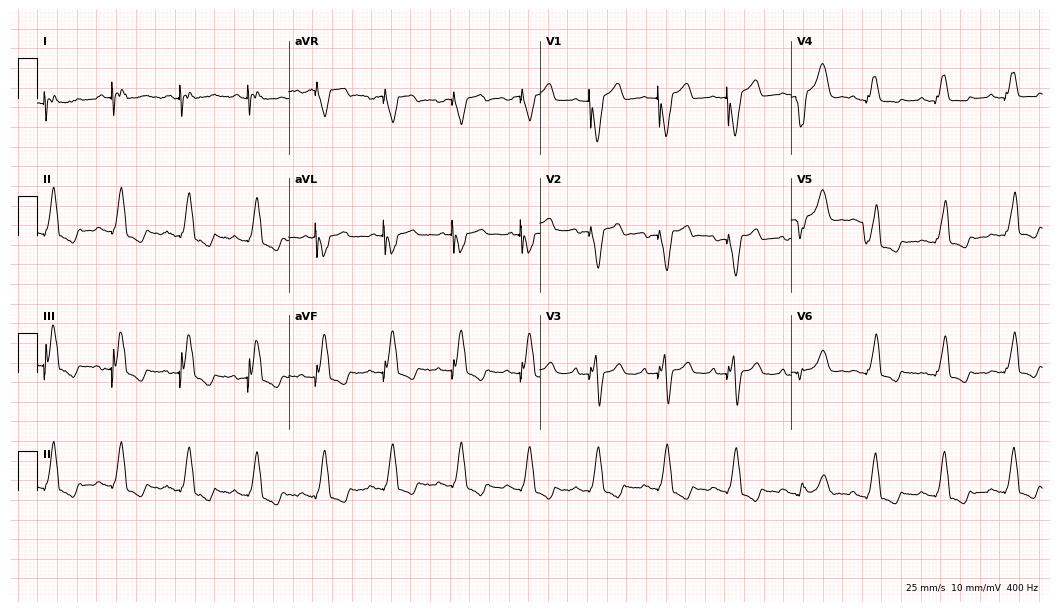
Electrocardiogram (10.2-second recording at 400 Hz), a 68-year-old woman. Of the six screened findings (first-degree AV block, right bundle branch block, left bundle branch block, sinus bradycardia, atrial fibrillation, sinus tachycardia), none is recorded. Other findings, if any, are not listed.